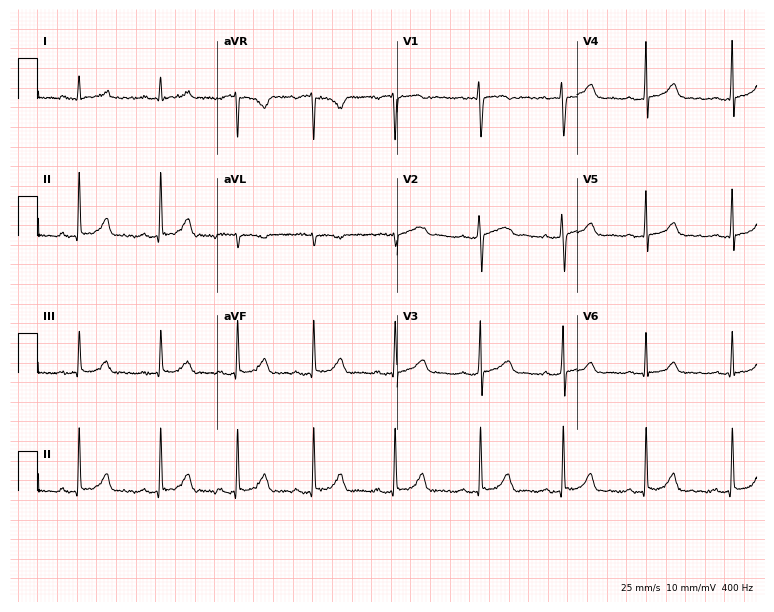
12-lead ECG from a 20-year-old female patient. No first-degree AV block, right bundle branch block, left bundle branch block, sinus bradycardia, atrial fibrillation or sinus tachycardia recorded for this tracing.